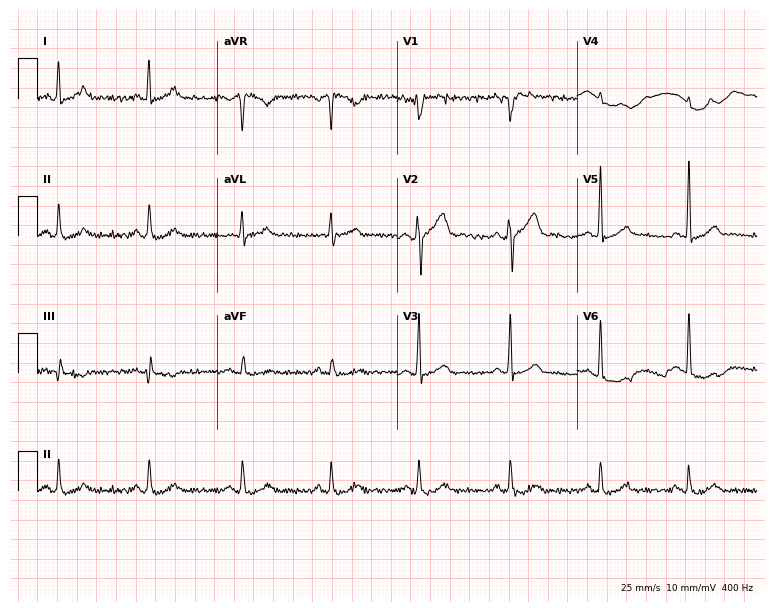
12-lead ECG from a man, 33 years old. Recorded interpretation: within normal limits.